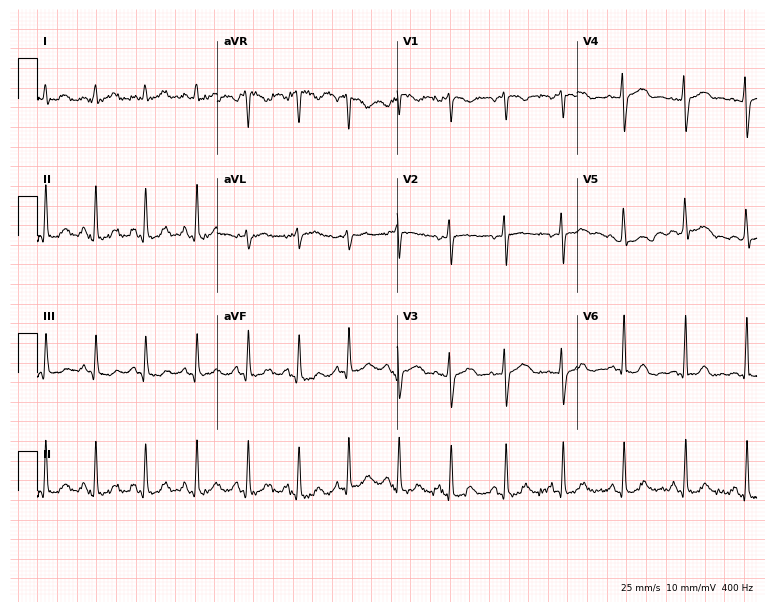
Electrocardiogram, a 36-year-old woman. Interpretation includes sinus tachycardia (a sinus rate of 100 beats per minute or more).